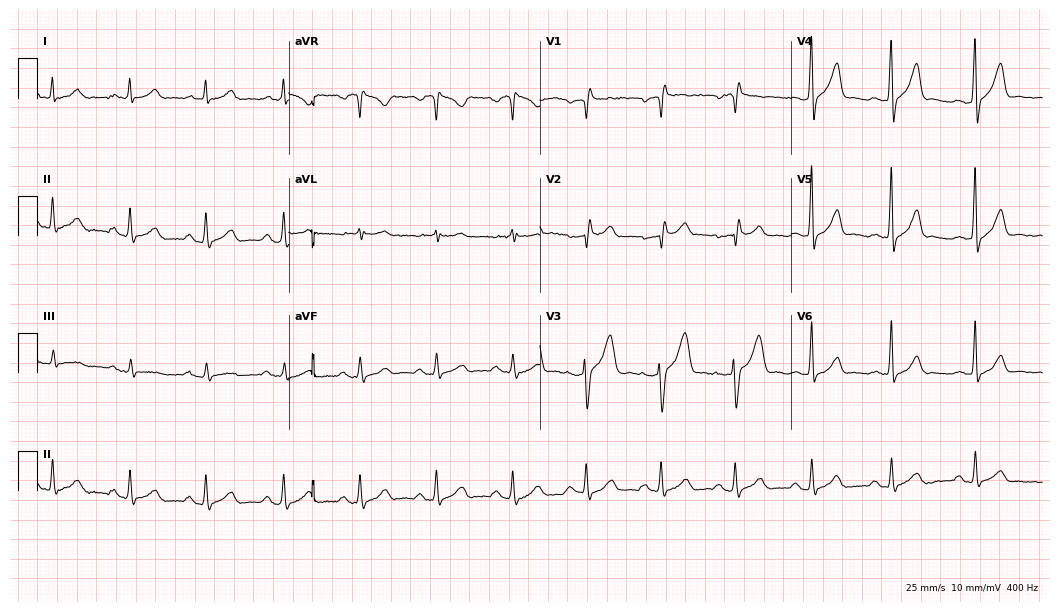
Resting 12-lead electrocardiogram (10.2-second recording at 400 Hz). Patient: a male, 46 years old. None of these six findings is recorded: first-degree AV block, right bundle branch block (RBBB), left bundle branch block (LBBB), sinus bradycardia, atrial fibrillation (AF), sinus tachycardia. Other findings, if any, are not listed.